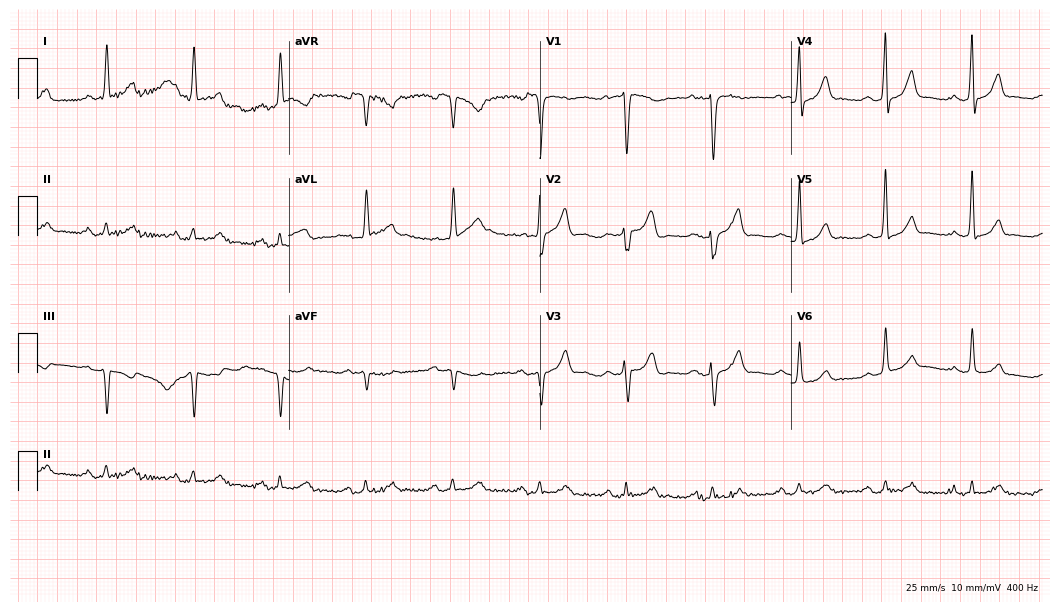
12-lead ECG from a woman, 77 years old (10.2-second recording at 400 Hz). Recorded interpretation: within normal limits.